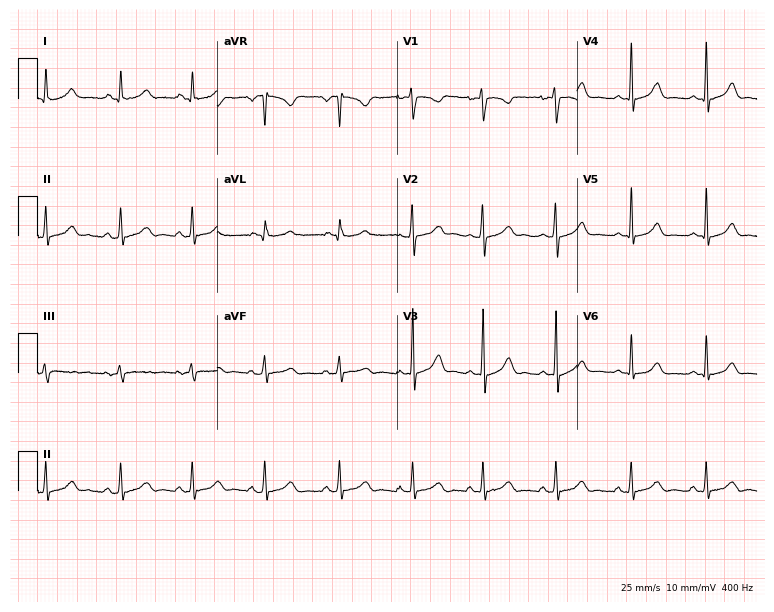
Resting 12-lead electrocardiogram (7.3-second recording at 400 Hz). Patient: a female, 25 years old. Read as a normal ECG.